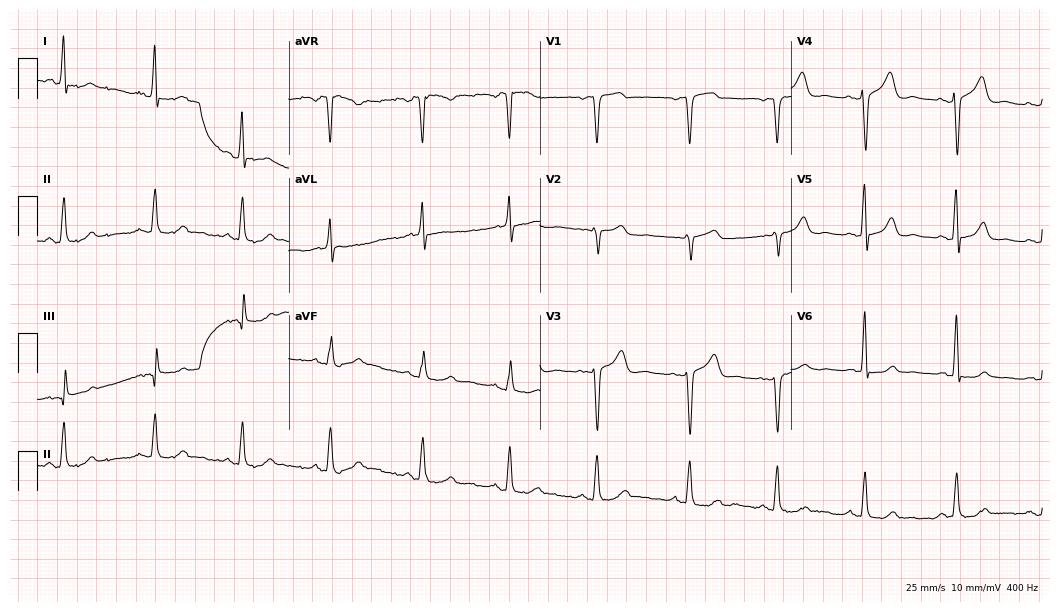
Resting 12-lead electrocardiogram (10.2-second recording at 400 Hz). Patient: a woman, 56 years old. Read as a normal ECG.